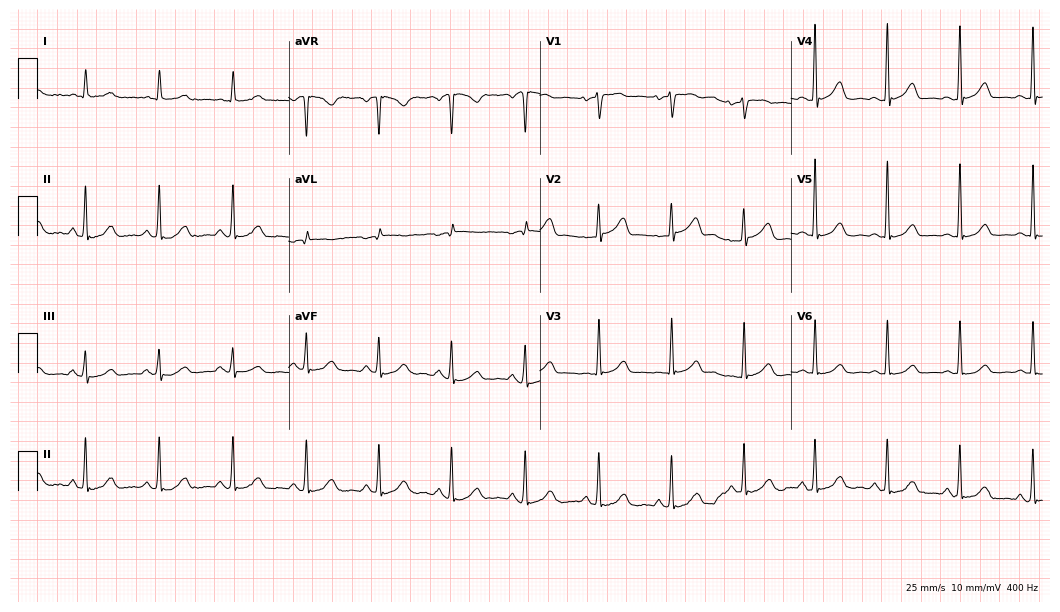
Standard 12-lead ECG recorded from a 66-year-old female (10.2-second recording at 400 Hz). None of these six findings is recorded: first-degree AV block, right bundle branch block, left bundle branch block, sinus bradycardia, atrial fibrillation, sinus tachycardia. Only these six findings were labelled.